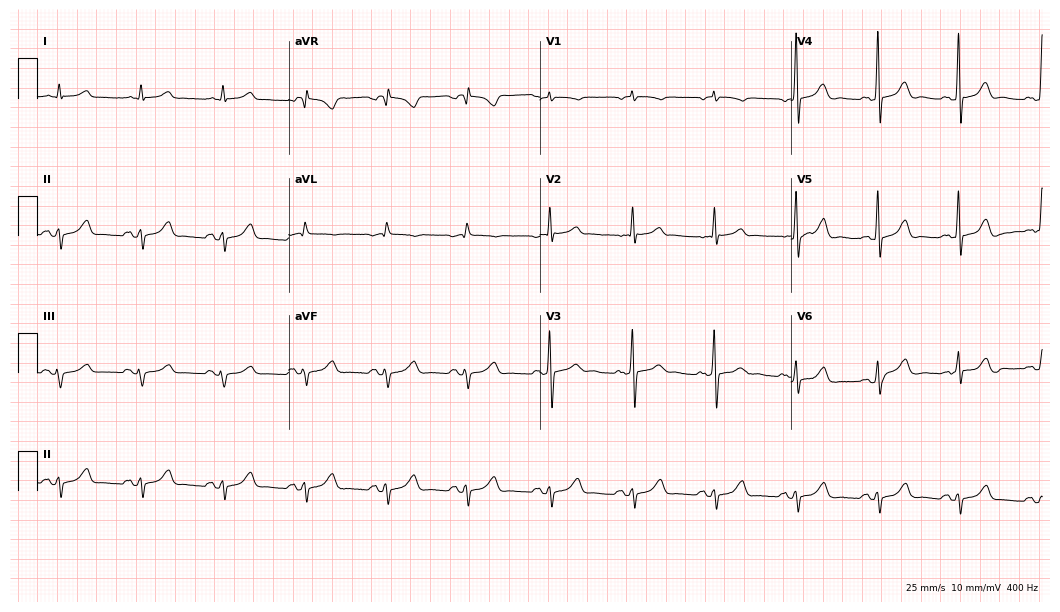
Resting 12-lead electrocardiogram (10.2-second recording at 400 Hz). Patient: a male, 82 years old. None of these six findings is recorded: first-degree AV block, right bundle branch block, left bundle branch block, sinus bradycardia, atrial fibrillation, sinus tachycardia.